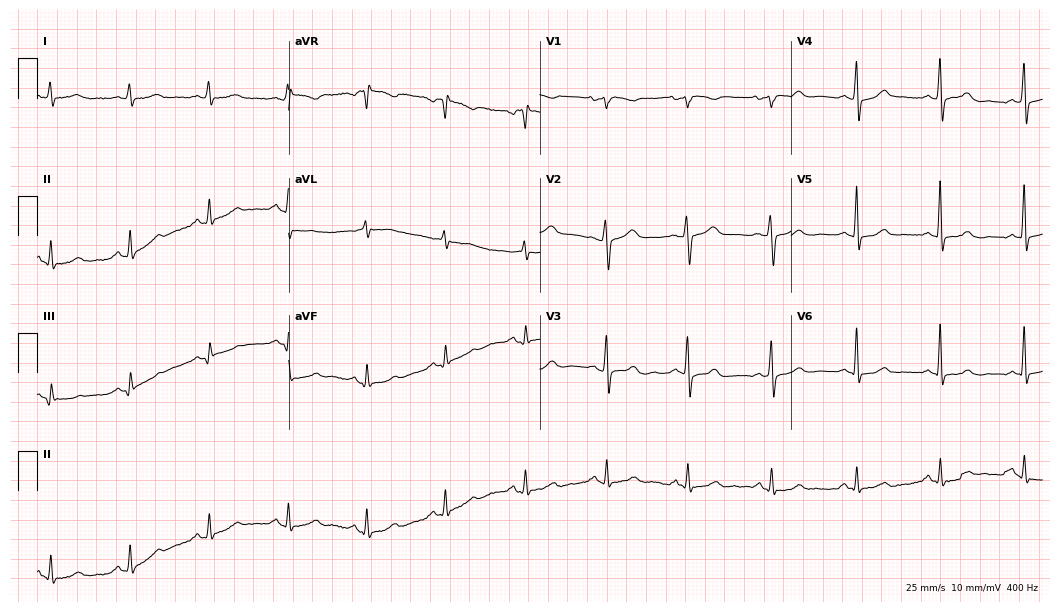
12-lead ECG from a woman, 57 years old. Labelled as a normal ECG.